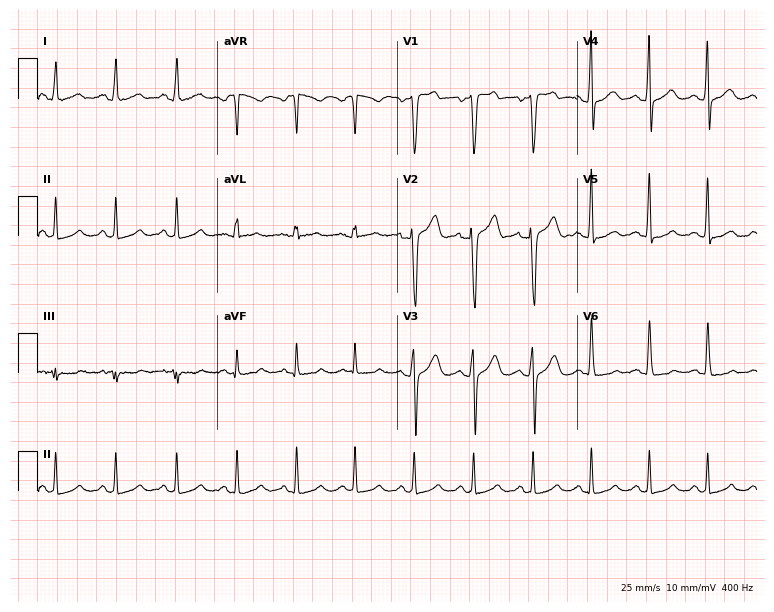
Standard 12-lead ECG recorded from a female patient, 26 years old. Read as a normal ECG.